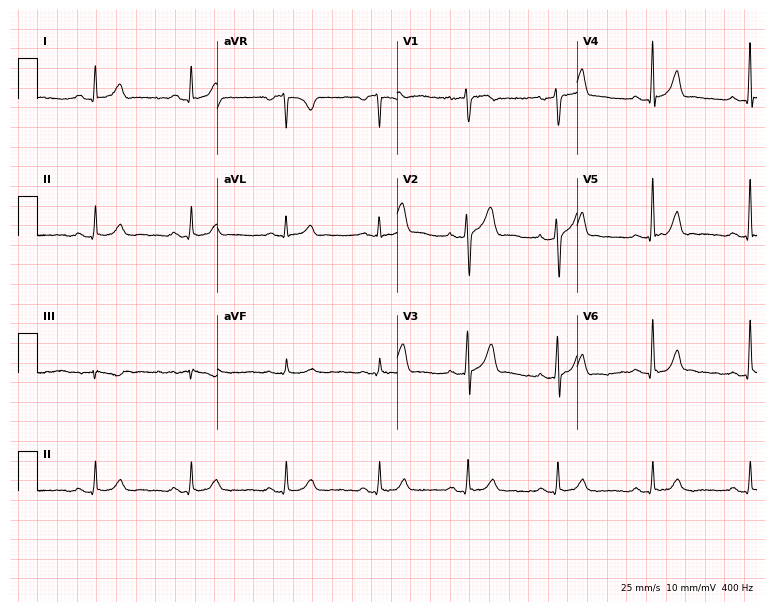
12-lead ECG from a man, 43 years old. Labelled as a normal ECG.